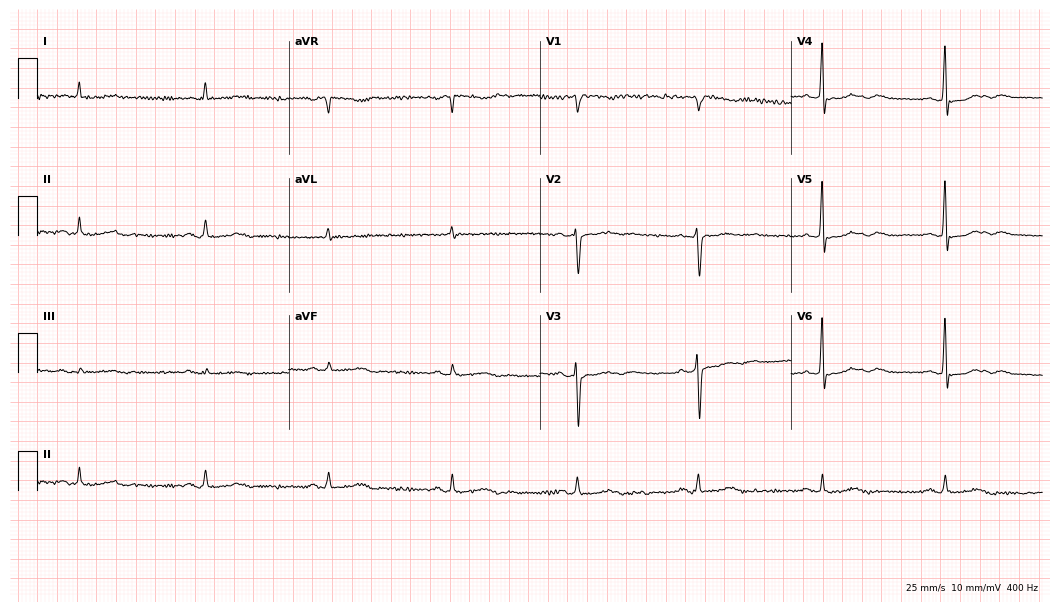
Electrocardiogram (10.2-second recording at 400 Hz), an 85-year-old man. Interpretation includes sinus bradycardia (a sinus rate of 50 beats per minute or less).